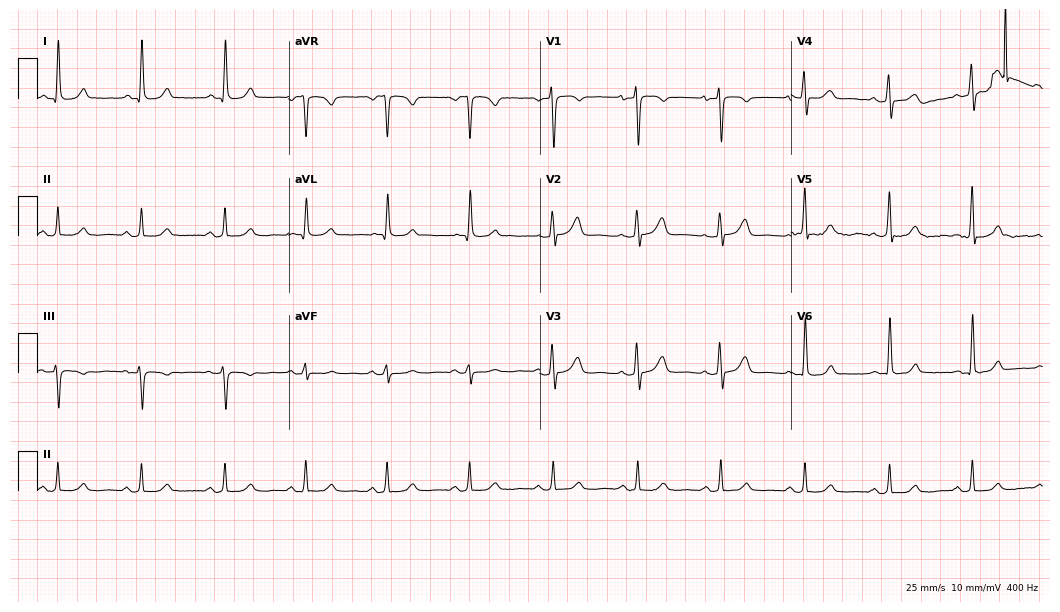
12-lead ECG from a female, 67 years old. Labelled as a normal ECG.